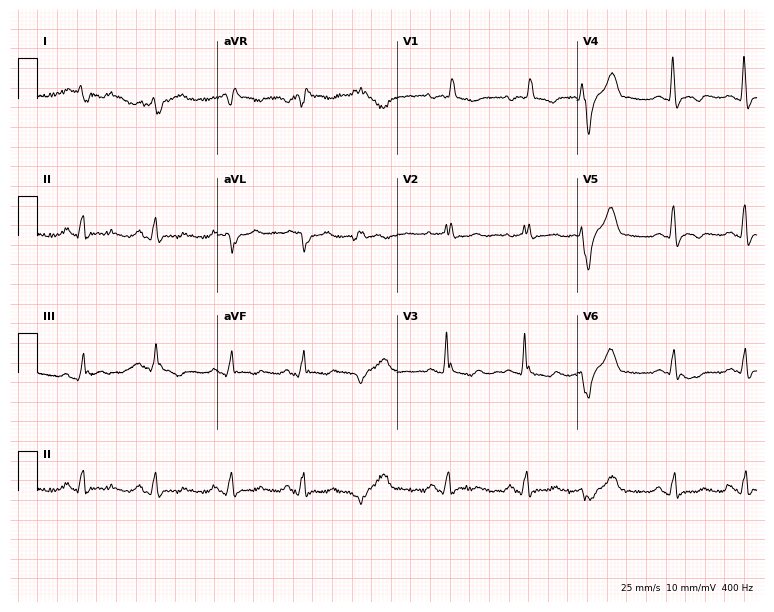
Electrocardiogram, a female patient, 49 years old. Interpretation includes right bundle branch block.